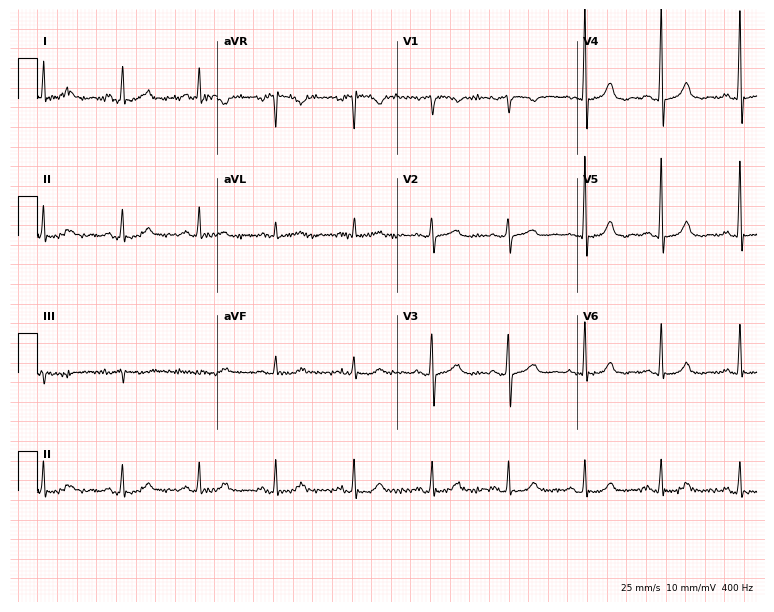
Electrocardiogram, a female patient, 76 years old. Overall reading on record: normal ECG.